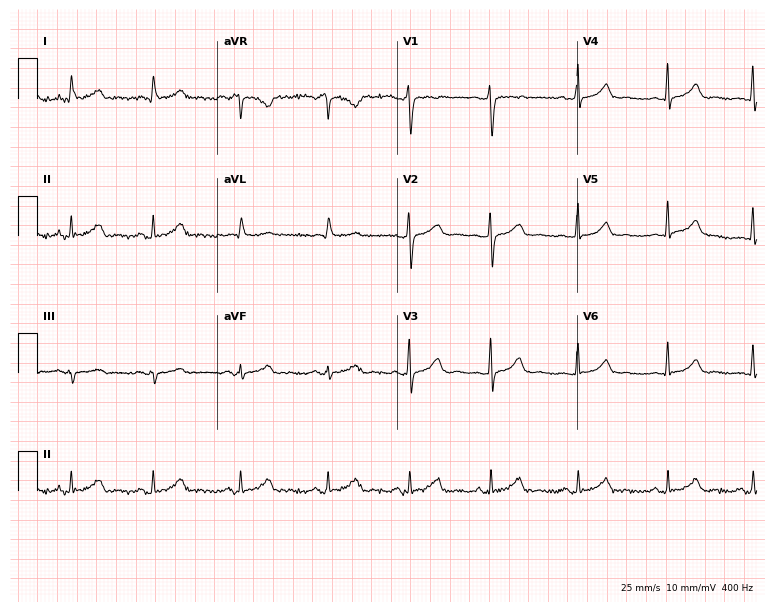
Electrocardiogram, a woman, 42 years old. Of the six screened findings (first-degree AV block, right bundle branch block (RBBB), left bundle branch block (LBBB), sinus bradycardia, atrial fibrillation (AF), sinus tachycardia), none is recorded. Only these six findings were labelled.